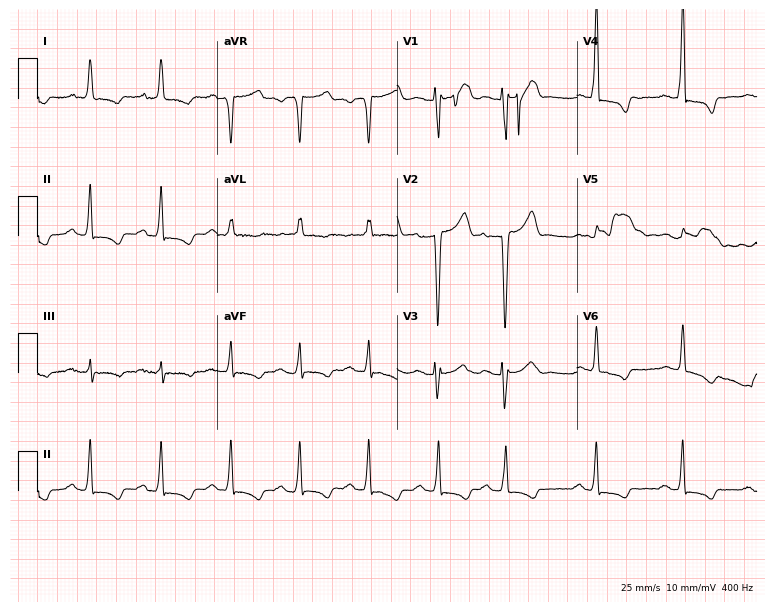
Electrocardiogram, a 79-year-old woman. Of the six screened findings (first-degree AV block, right bundle branch block, left bundle branch block, sinus bradycardia, atrial fibrillation, sinus tachycardia), none is recorded. Findings outside these six are not listed.